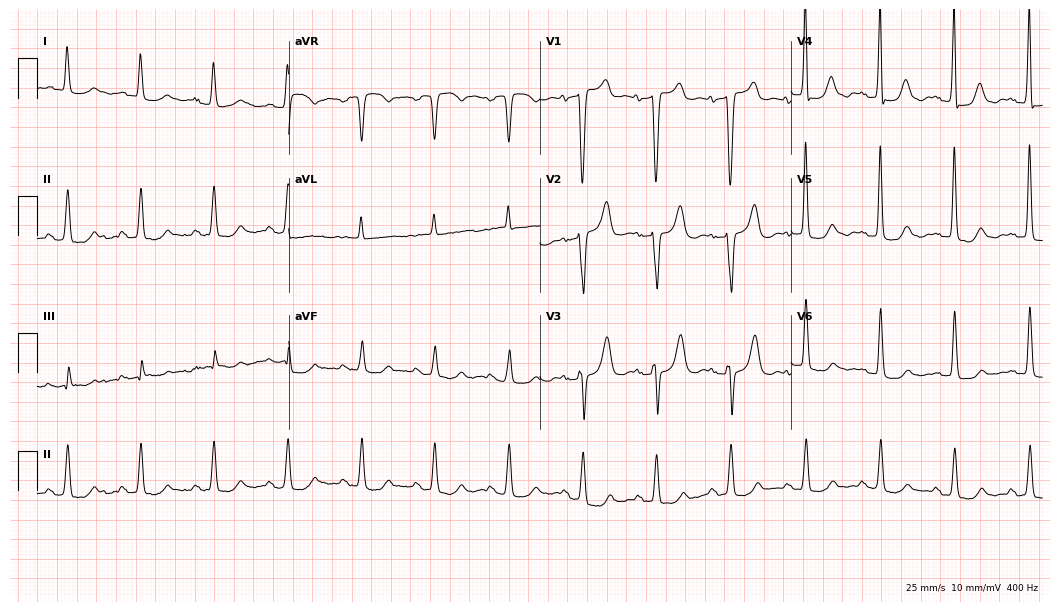
12-lead ECG from an 85-year-old woman. Labelled as a normal ECG.